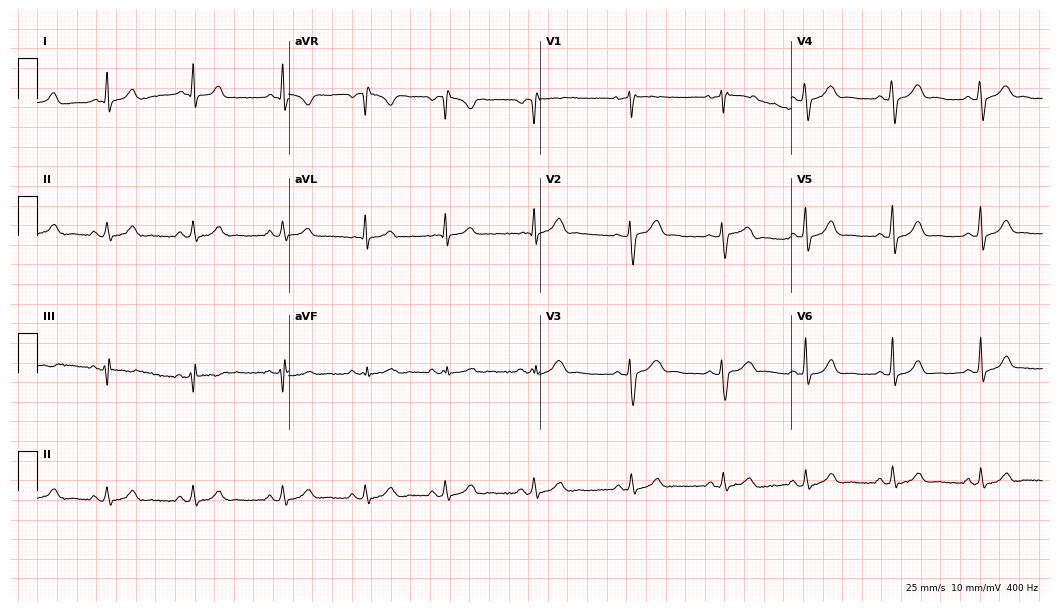
Resting 12-lead electrocardiogram (10.2-second recording at 400 Hz). Patient: a 21-year-old woman. None of these six findings is recorded: first-degree AV block, right bundle branch block, left bundle branch block, sinus bradycardia, atrial fibrillation, sinus tachycardia. Other findings, if any, are not listed.